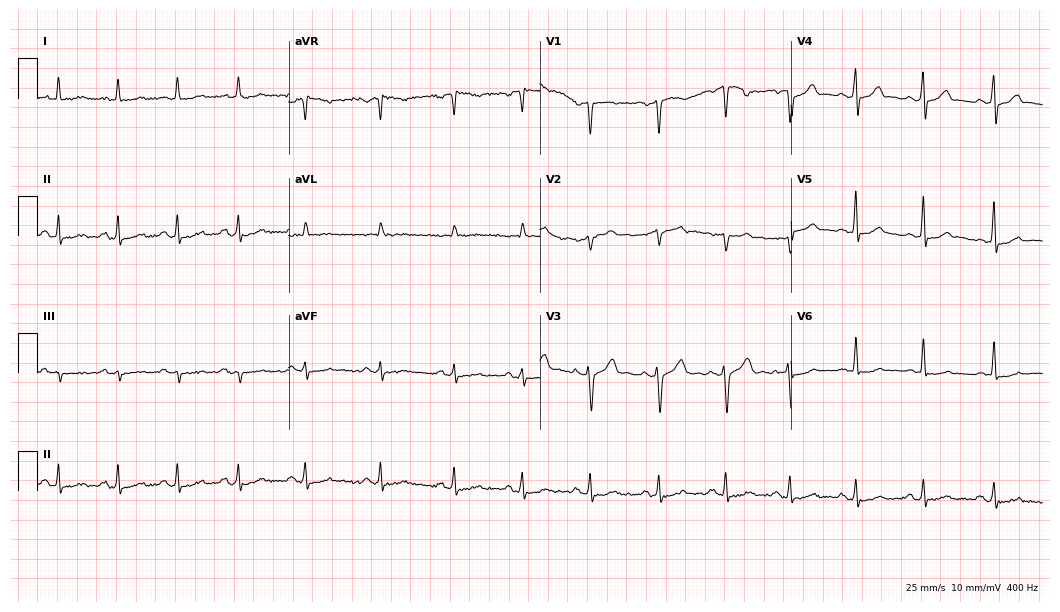
Electrocardiogram, a male, 63 years old. Of the six screened findings (first-degree AV block, right bundle branch block (RBBB), left bundle branch block (LBBB), sinus bradycardia, atrial fibrillation (AF), sinus tachycardia), none is recorded. Other findings, if any, are not listed.